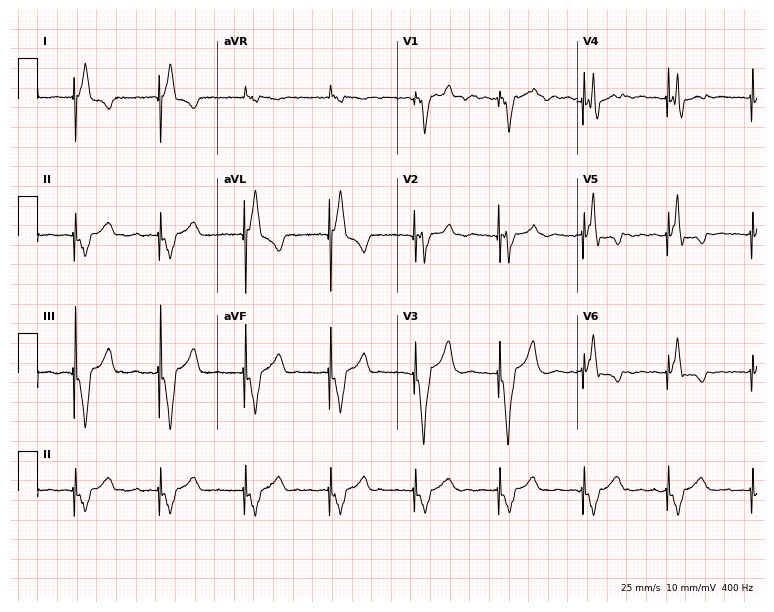
Standard 12-lead ECG recorded from an 81-year-old woman. None of these six findings is recorded: first-degree AV block, right bundle branch block, left bundle branch block, sinus bradycardia, atrial fibrillation, sinus tachycardia.